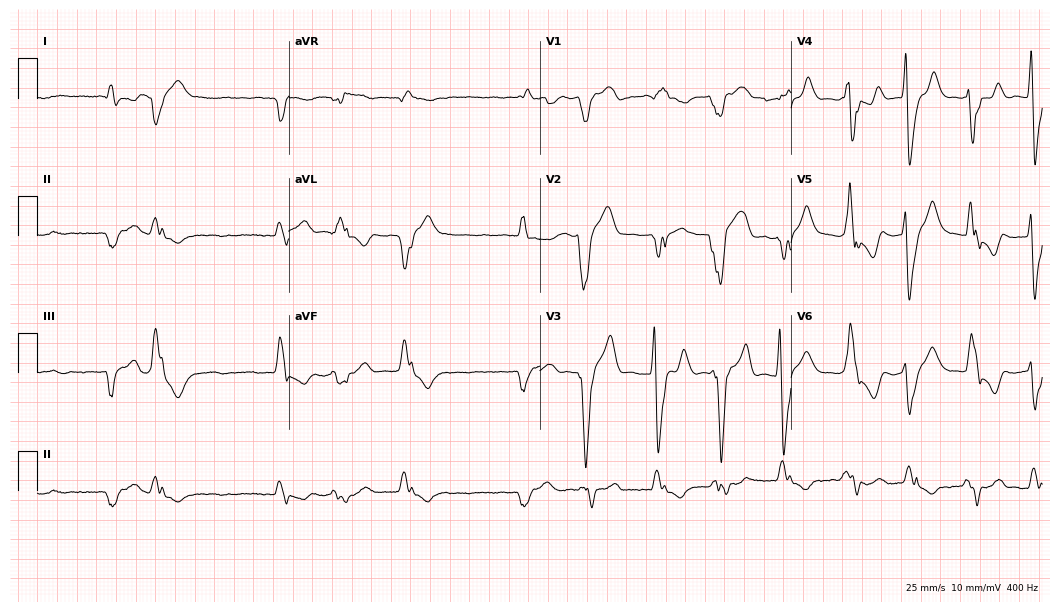
12-lead ECG (10.2-second recording at 400 Hz) from a woman, 61 years old. Screened for six findings — first-degree AV block, right bundle branch block, left bundle branch block, sinus bradycardia, atrial fibrillation, sinus tachycardia — none is recorded. Only these six findings were labelled.